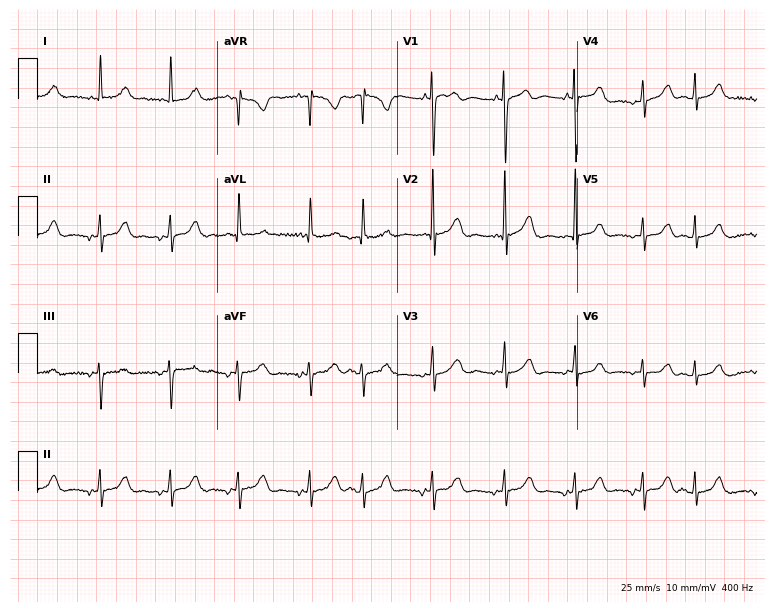
12-lead ECG from an 81-year-old female (7.3-second recording at 400 Hz). No first-degree AV block, right bundle branch block (RBBB), left bundle branch block (LBBB), sinus bradycardia, atrial fibrillation (AF) or sinus tachycardia recorded for this tracing.